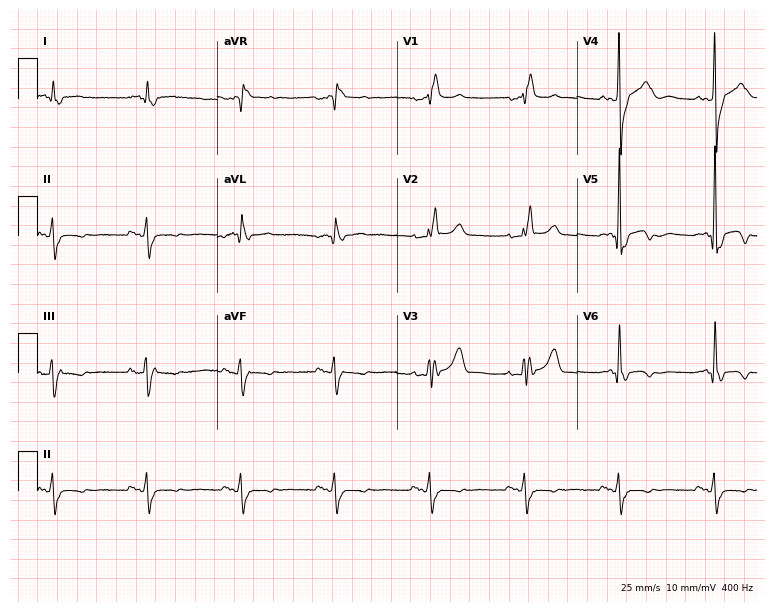
12-lead ECG from a male, 72 years old (7.3-second recording at 400 Hz). Shows right bundle branch block.